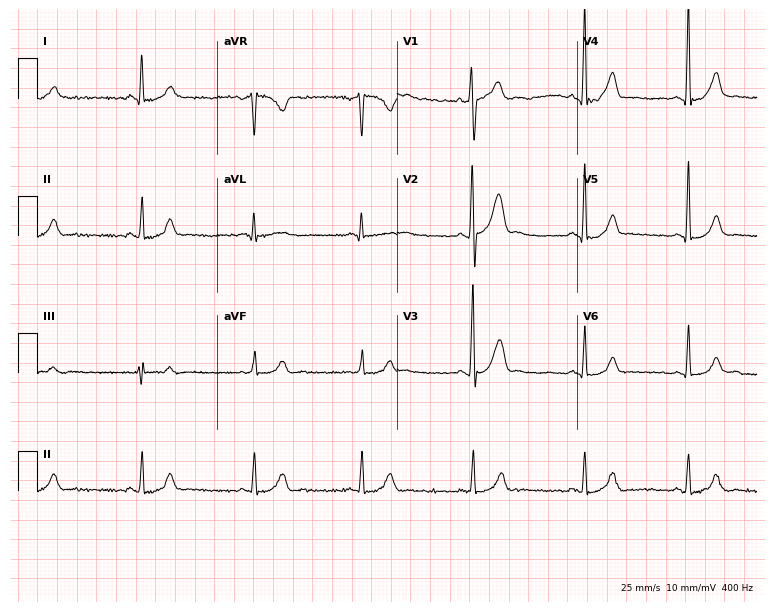
Resting 12-lead electrocardiogram (7.3-second recording at 400 Hz). Patient: a male, 27 years old. Read as a normal ECG.